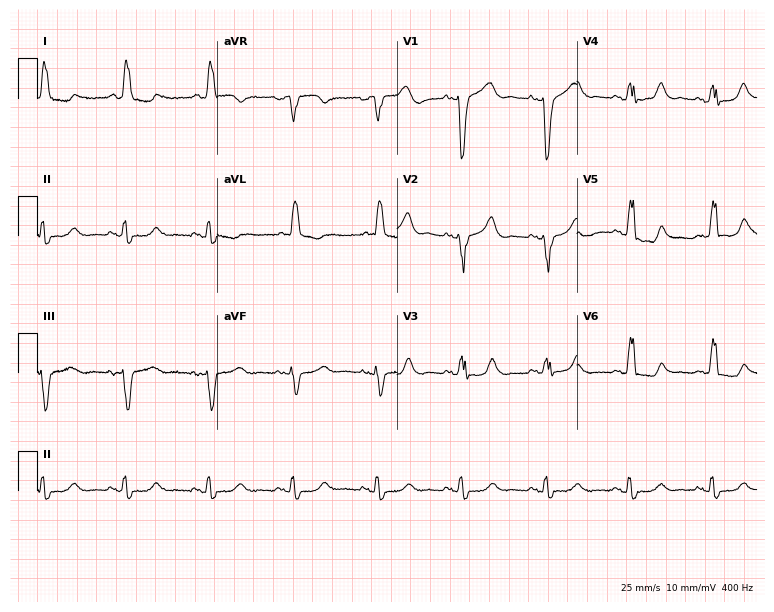
Standard 12-lead ECG recorded from a 77-year-old woman. The tracing shows left bundle branch block (LBBB).